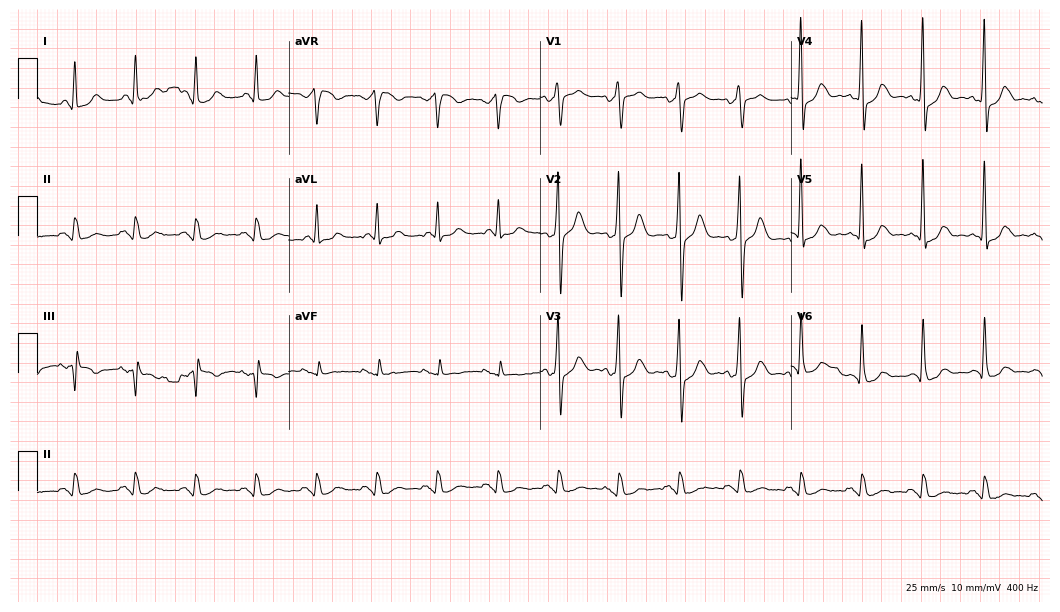
Electrocardiogram (10.2-second recording at 400 Hz), an 81-year-old female patient. Of the six screened findings (first-degree AV block, right bundle branch block, left bundle branch block, sinus bradycardia, atrial fibrillation, sinus tachycardia), none is recorded. Only these six findings were labelled.